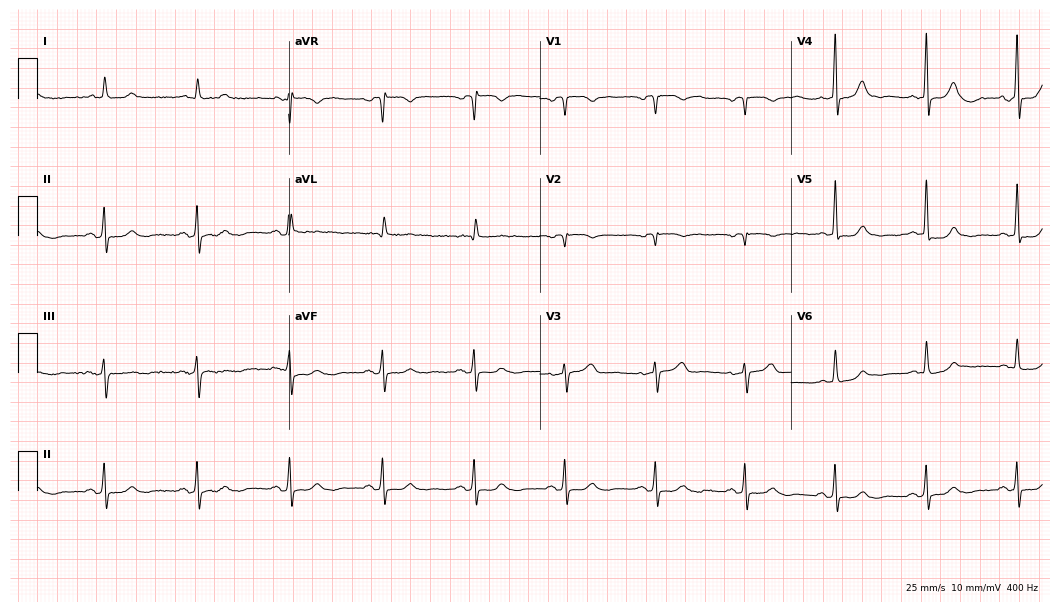
Resting 12-lead electrocardiogram. Patient: a 67-year-old male. Read as a normal ECG.